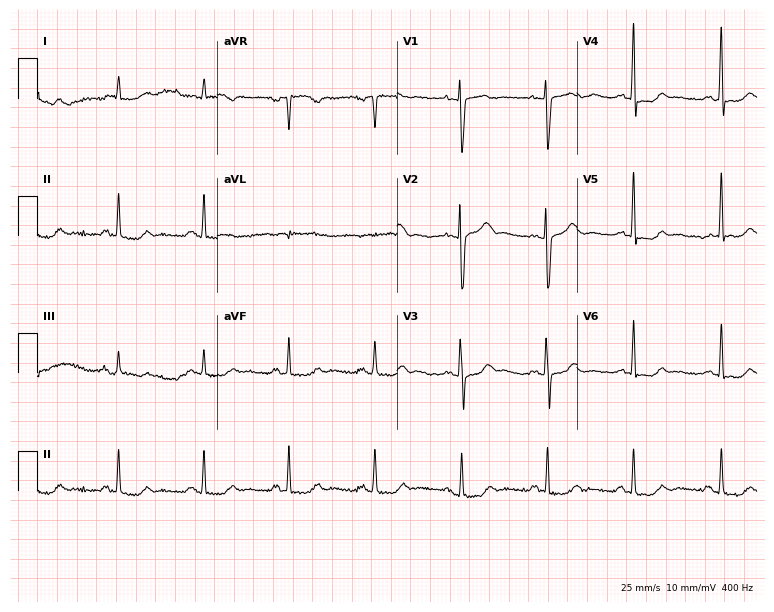
12-lead ECG from a female, 51 years old. Screened for six findings — first-degree AV block, right bundle branch block, left bundle branch block, sinus bradycardia, atrial fibrillation, sinus tachycardia — none is recorded. Findings outside these six are not listed.